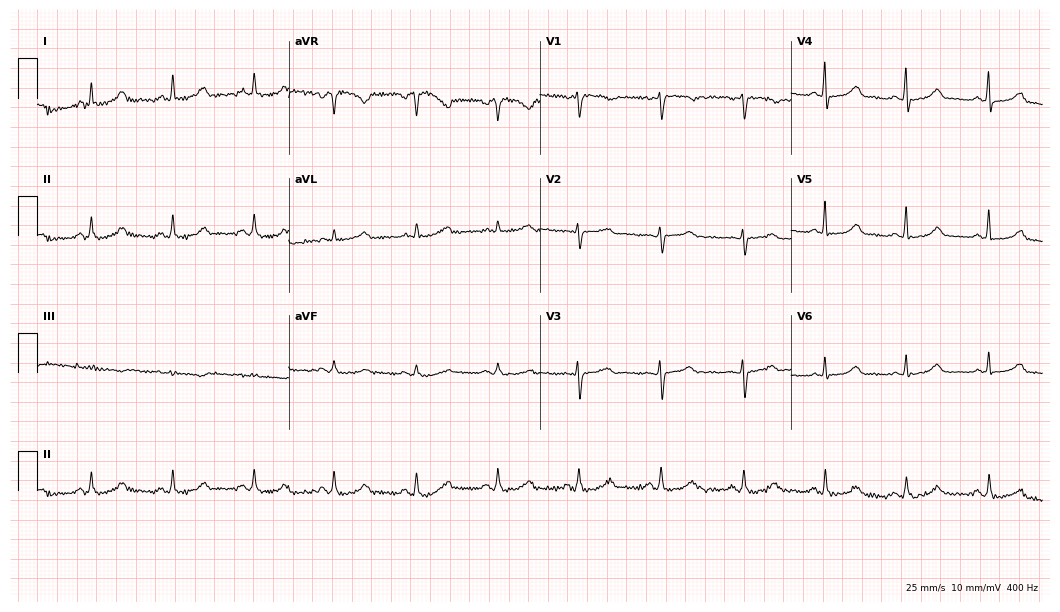
12-lead ECG from a female, 45 years old. No first-degree AV block, right bundle branch block (RBBB), left bundle branch block (LBBB), sinus bradycardia, atrial fibrillation (AF) or sinus tachycardia recorded for this tracing.